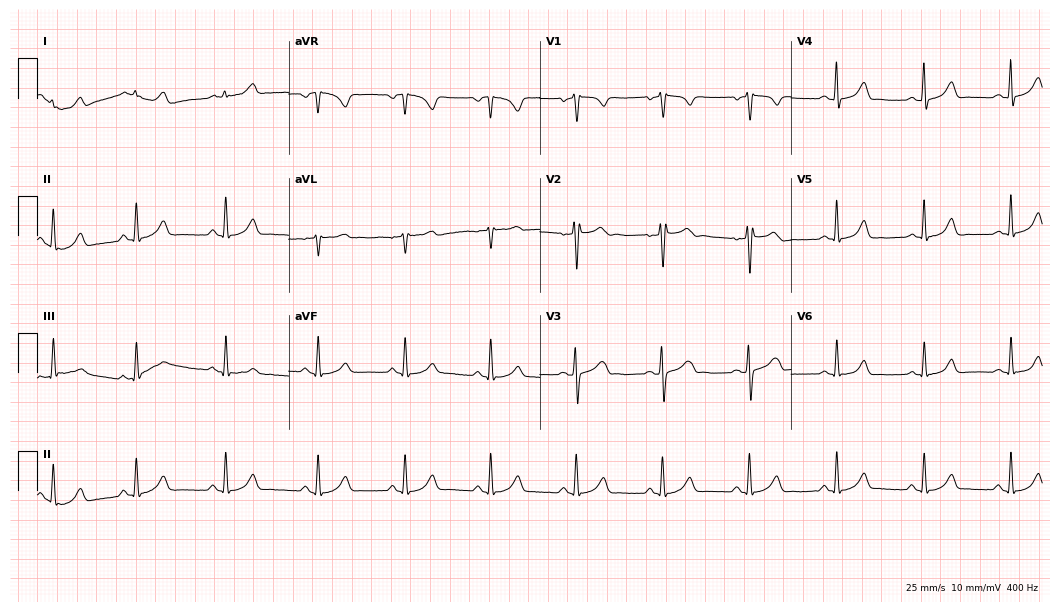
Resting 12-lead electrocardiogram (10.2-second recording at 400 Hz). Patient: a woman, 29 years old. None of these six findings is recorded: first-degree AV block, right bundle branch block (RBBB), left bundle branch block (LBBB), sinus bradycardia, atrial fibrillation (AF), sinus tachycardia. Findings outside these six are not listed.